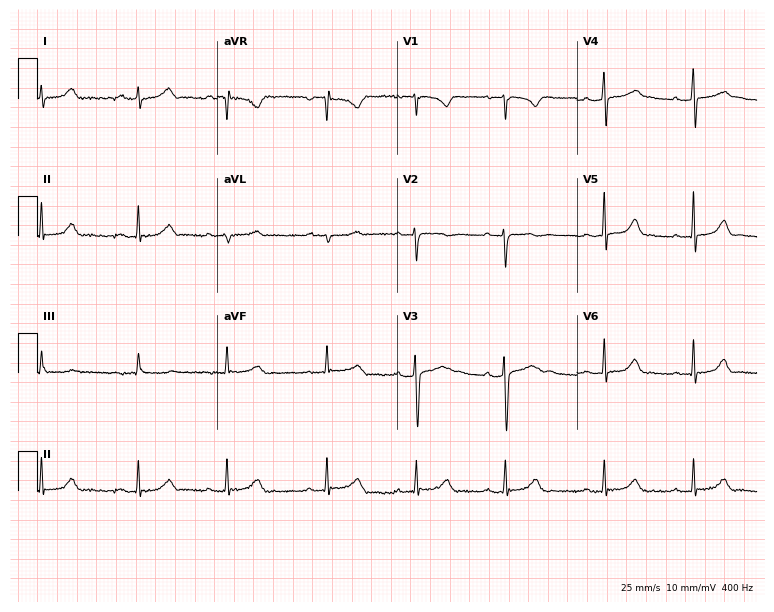
Electrocardiogram, a woman, 24 years old. Of the six screened findings (first-degree AV block, right bundle branch block (RBBB), left bundle branch block (LBBB), sinus bradycardia, atrial fibrillation (AF), sinus tachycardia), none is recorded. Only these six findings were labelled.